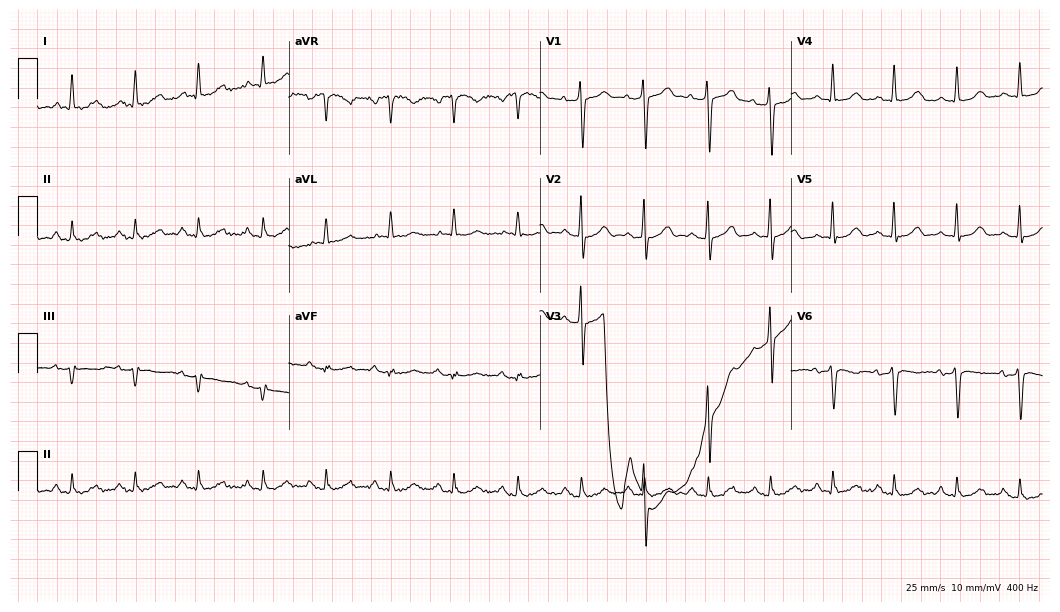
Electrocardiogram (10.2-second recording at 400 Hz), a 67-year-old male patient. Overall reading on record: normal ECG.